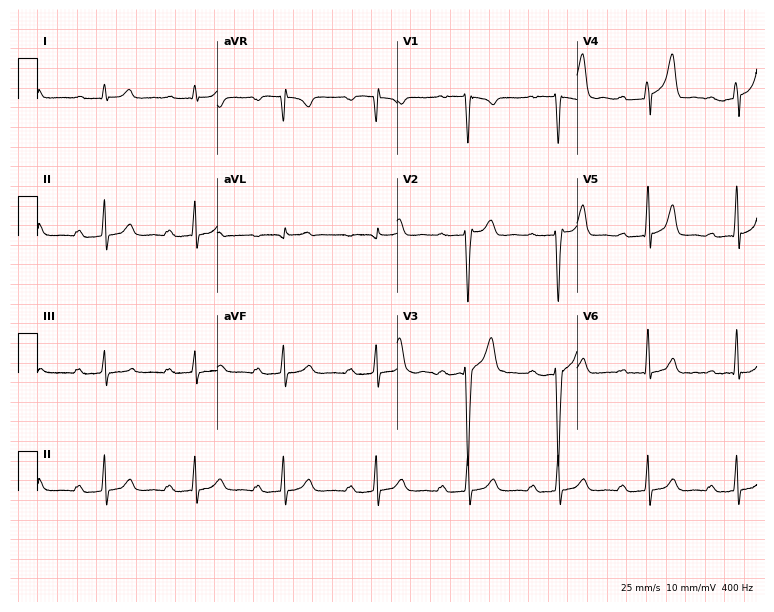
Electrocardiogram (7.3-second recording at 400 Hz), a 25-year-old male. Interpretation includes first-degree AV block.